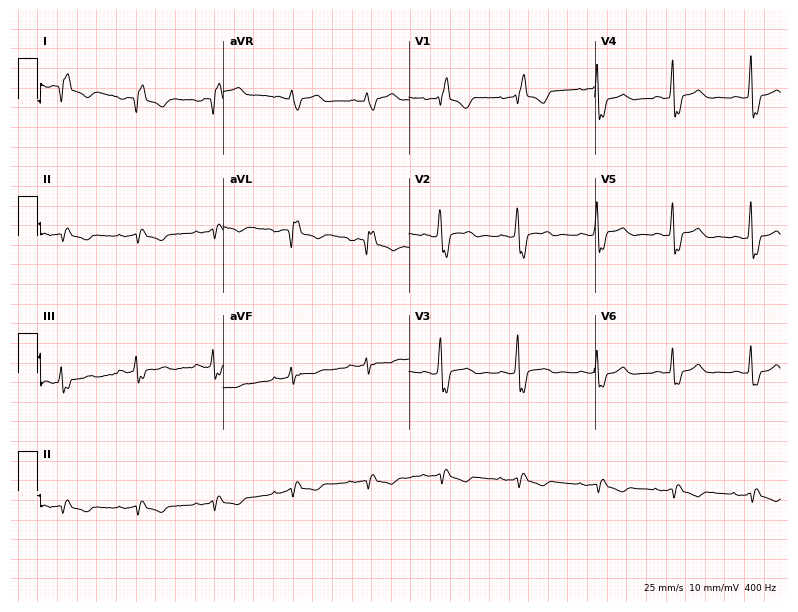
Resting 12-lead electrocardiogram (7.6-second recording at 400 Hz). Patient: a 31-year-old female. None of these six findings is recorded: first-degree AV block, right bundle branch block (RBBB), left bundle branch block (LBBB), sinus bradycardia, atrial fibrillation (AF), sinus tachycardia.